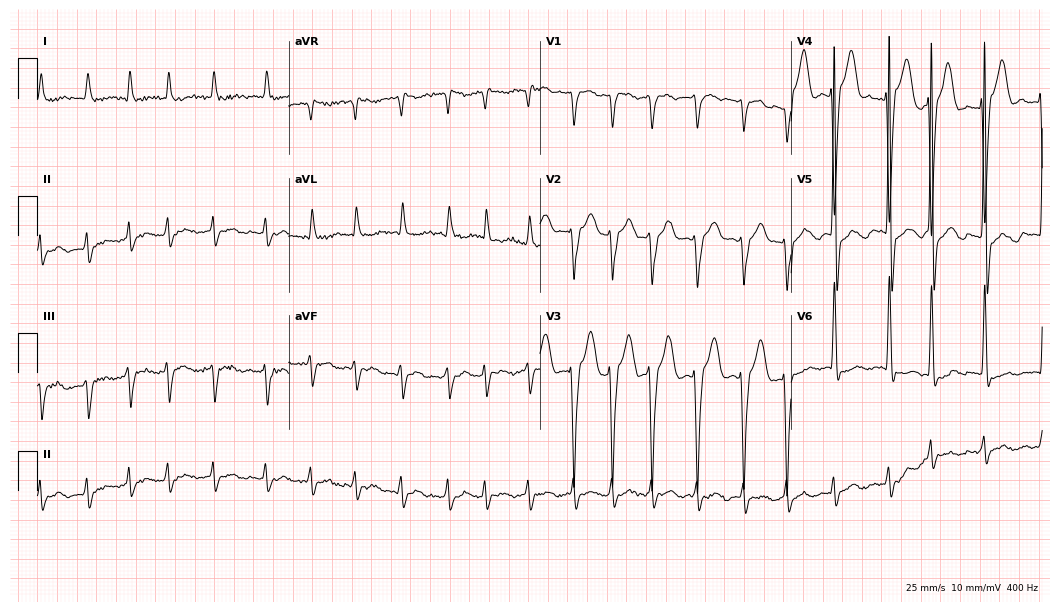
12-lead ECG from a male patient, 77 years old. Findings include atrial fibrillation, sinus tachycardia (a sinus rate of 100 beats per minute or more).